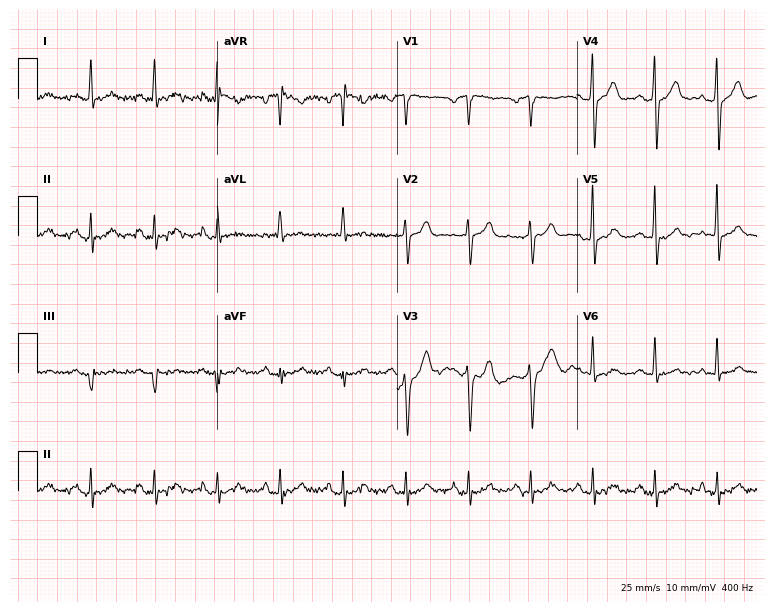
12-lead ECG from a man, 63 years old (7.3-second recording at 400 Hz). No first-degree AV block, right bundle branch block, left bundle branch block, sinus bradycardia, atrial fibrillation or sinus tachycardia recorded for this tracing.